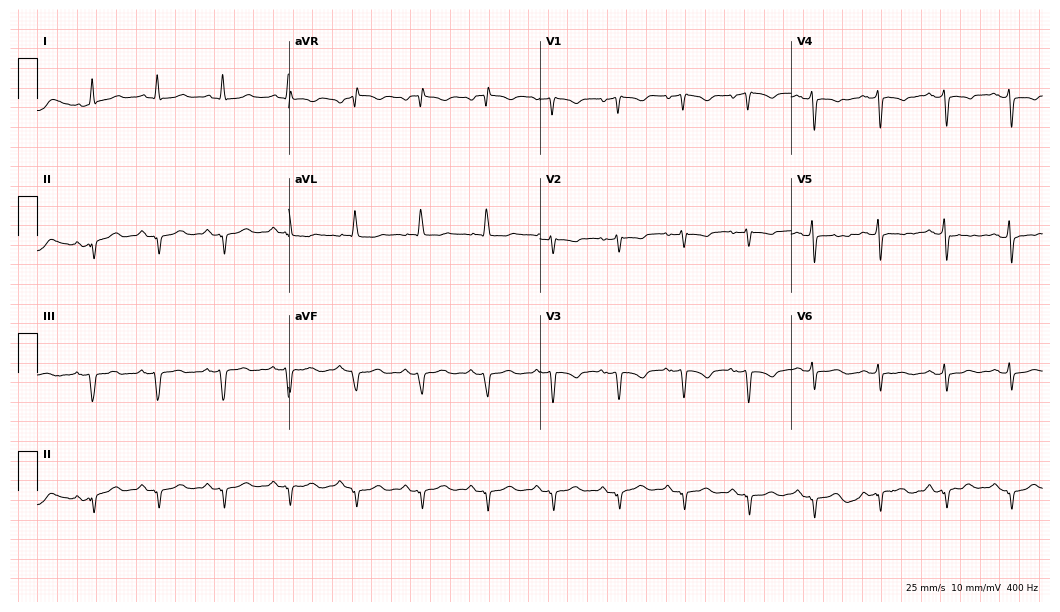
Resting 12-lead electrocardiogram (10.2-second recording at 400 Hz). Patient: a 57-year-old woman. None of these six findings is recorded: first-degree AV block, right bundle branch block, left bundle branch block, sinus bradycardia, atrial fibrillation, sinus tachycardia. Findings outside these six are not listed.